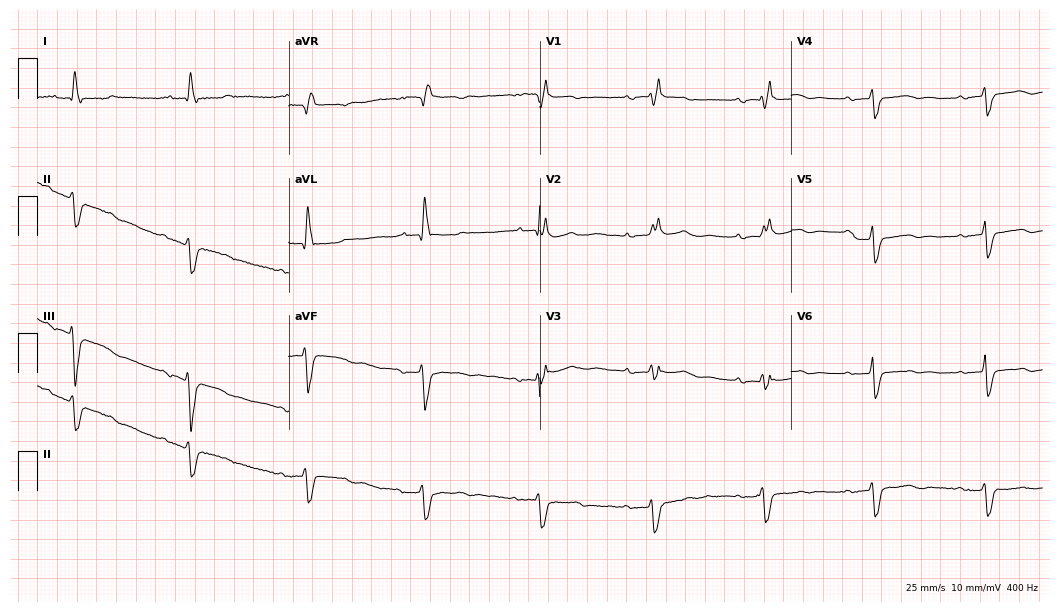
Standard 12-lead ECG recorded from a 66-year-old female patient. The tracing shows first-degree AV block, right bundle branch block (RBBB).